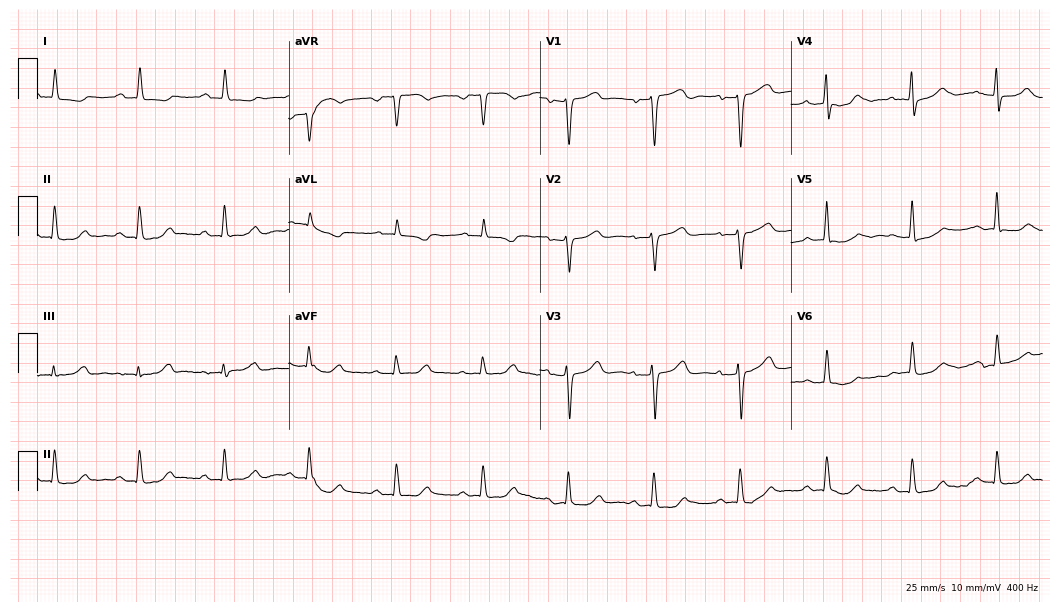
Electrocardiogram (10.2-second recording at 400 Hz), a 76-year-old female patient. Of the six screened findings (first-degree AV block, right bundle branch block (RBBB), left bundle branch block (LBBB), sinus bradycardia, atrial fibrillation (AF), sinus tachycardia), none is recorded. Other findings, if any, are not listed.